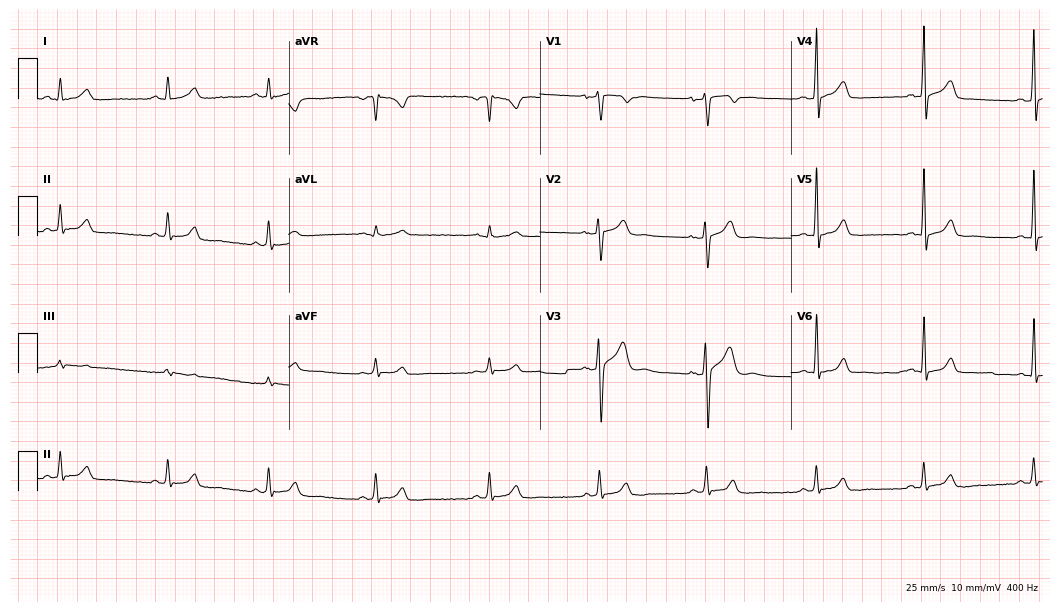
12-lead ECG from a 35-year-old male (10.2-second recording at 400 Hz). No first-degree AV block, right bundle branch block (RBBB), left bundle branch block (LBBB), sinus bradycardia, atrial fibrillation (AF) or sinus tachycardia recorded for this tracing. Other findings, if any, are not listed.